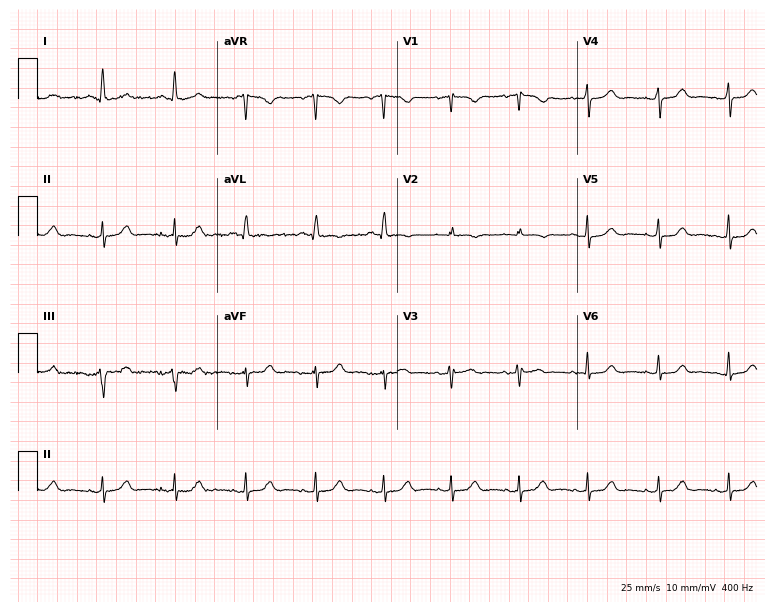
Electrocardiogram, a 69-year-old female patient. Overall reading on record: normal ECG.